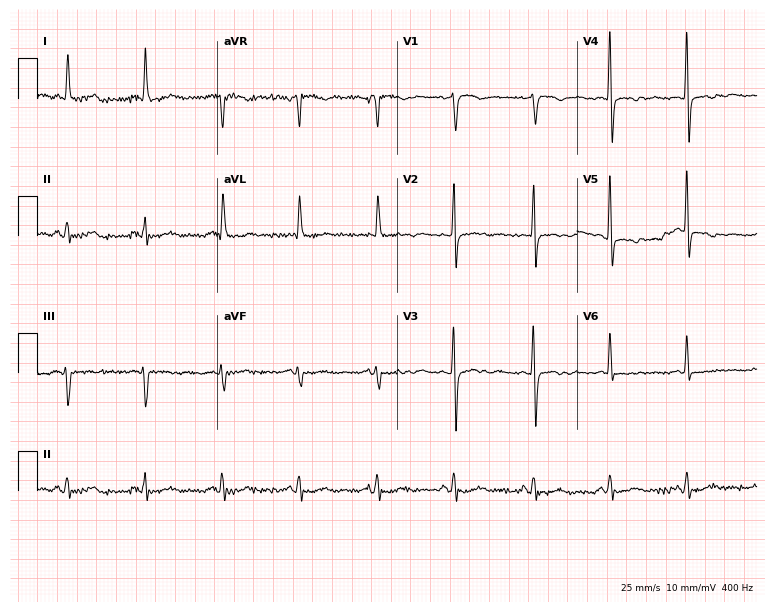
12-lead ECG (7.3-second recording at 400 Hz) from a female patient, 78 years old. Screened for six findings — first-degree AV block, right bundle branch block, left bundle branch block, sinus bradycardia, atrial fibrillation, sinus tachycardia — none is recorded. Findings outside these six are not listed.